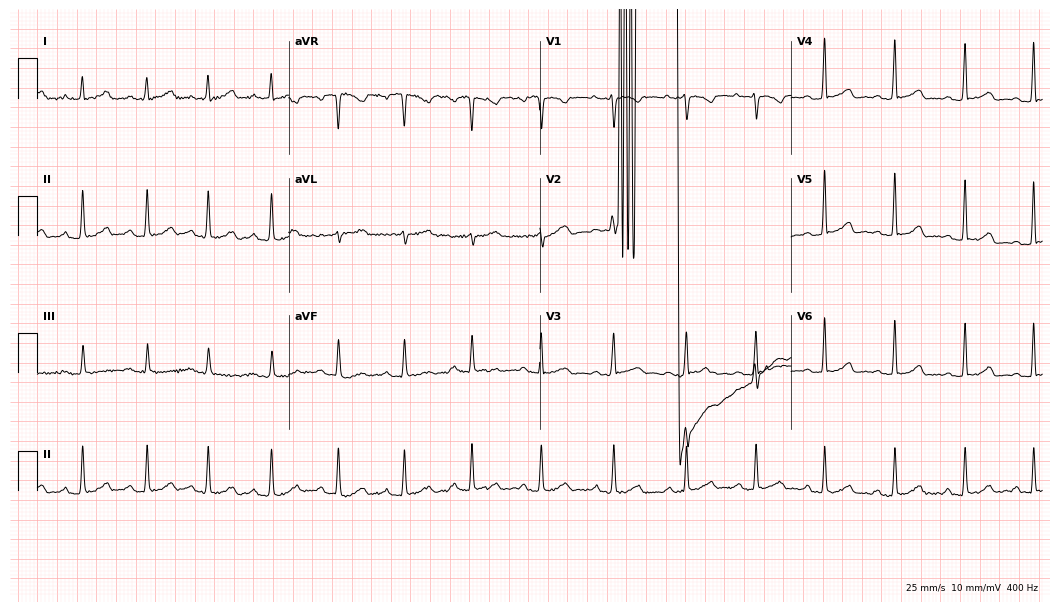
12-lead ECG from a 32-year-old female patient. Recorded interpretation: within normal limits.